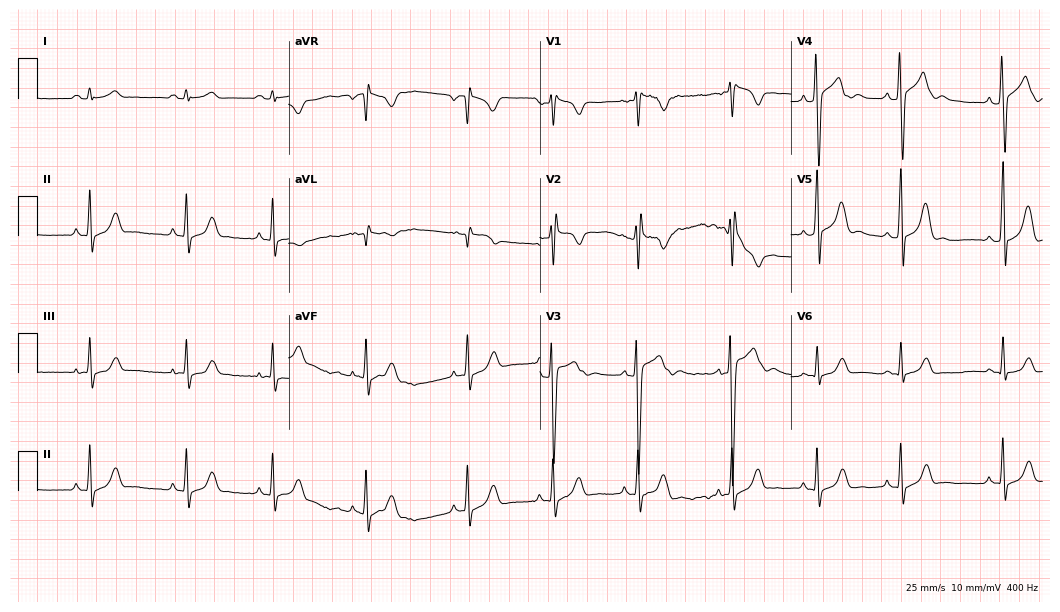
ECG — a male, 17 years old. Screened for six findings — first-degree AV block, right bundle branch block (RBBB), left bundle branch block (LBBB), sinus bradycardia, atrial fibrillation (AF), sinus tachycardia — none is recorded.